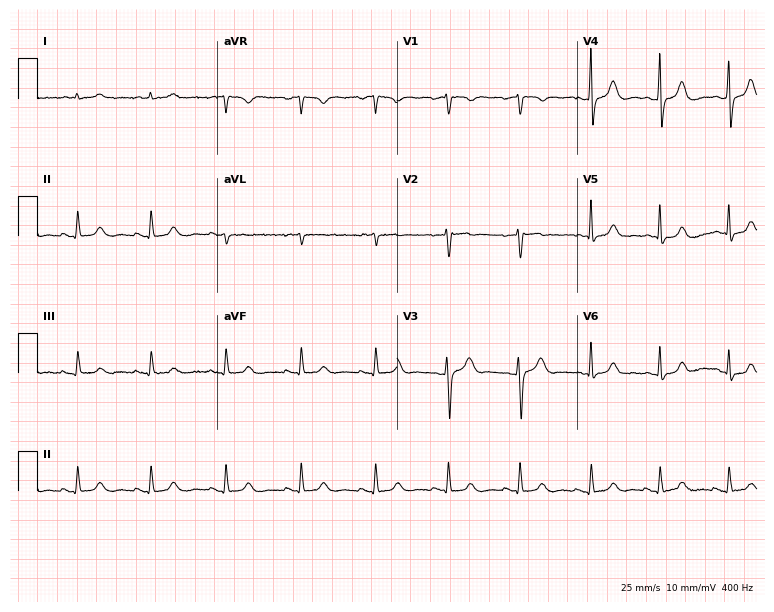
12-lead ECG from a female patient, 55 years old. Recorded interpretation: within normal limits.